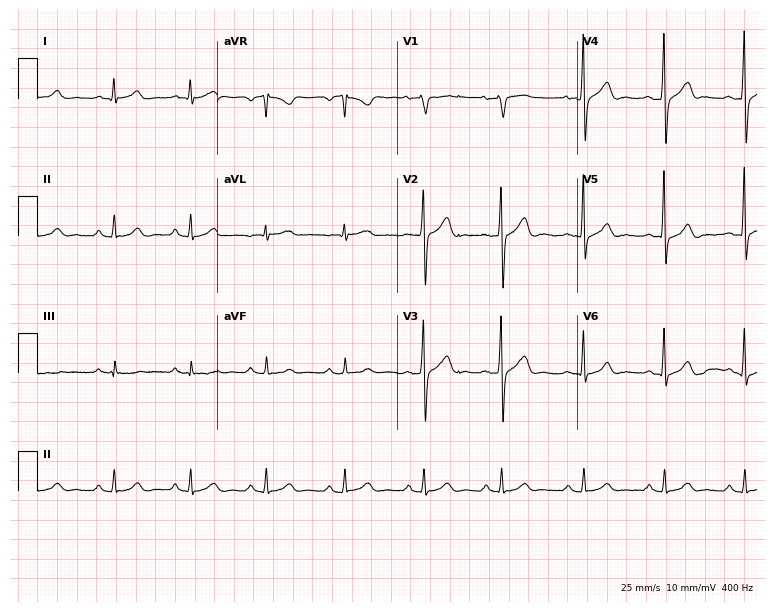
12-lead ECG from a man, 37 years old. Recorded interpretation: within normal limits.